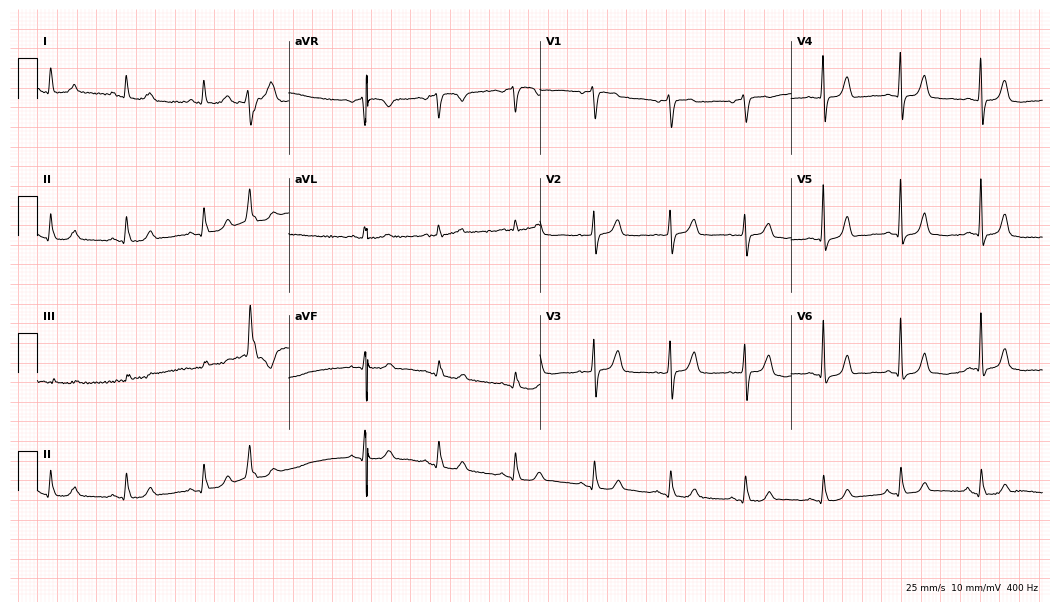
Electrocardiogram, a woman, 75 years old. Of the six screened findings (first-degree AV block, right bundle branch block, left bundle branch block, sinus bradycardia, atrial fibrillation, sinus tachycardia), none is recorded. Other findings, if any, are not listed.